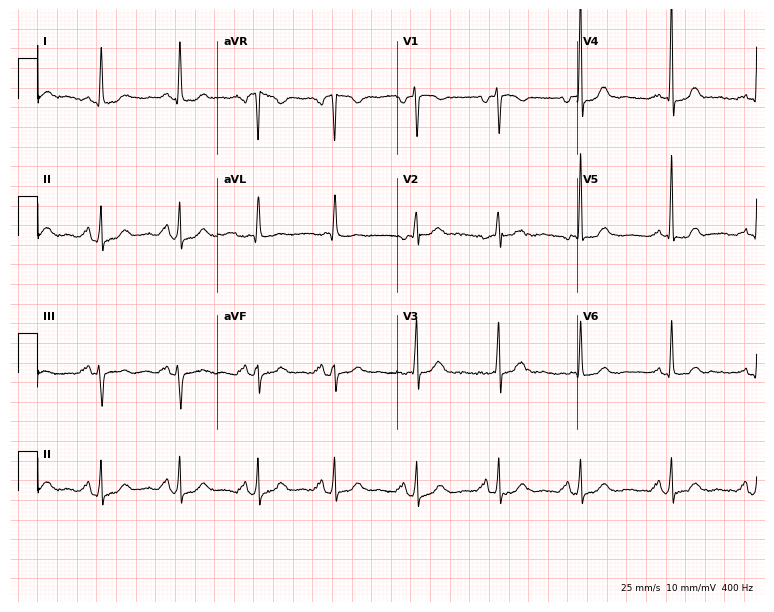
12-lead ECG (7.3-second recording at 400 Hz) from a woman, 58 years old. Screened for six findings — first-degree AV block, right bundle branch block, left bundle branch block, sinus bradycardia, atrial fibrillation, sinus tachycardia — none is recorded.